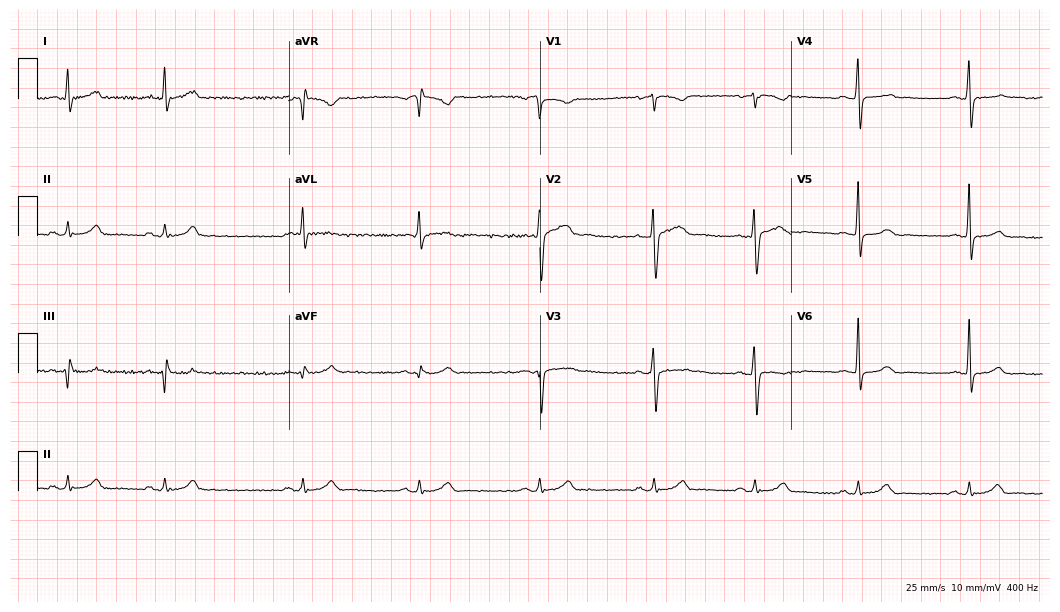
Electrocardiogram, a 30-year-old man. Overall reading on record: normal ECG.